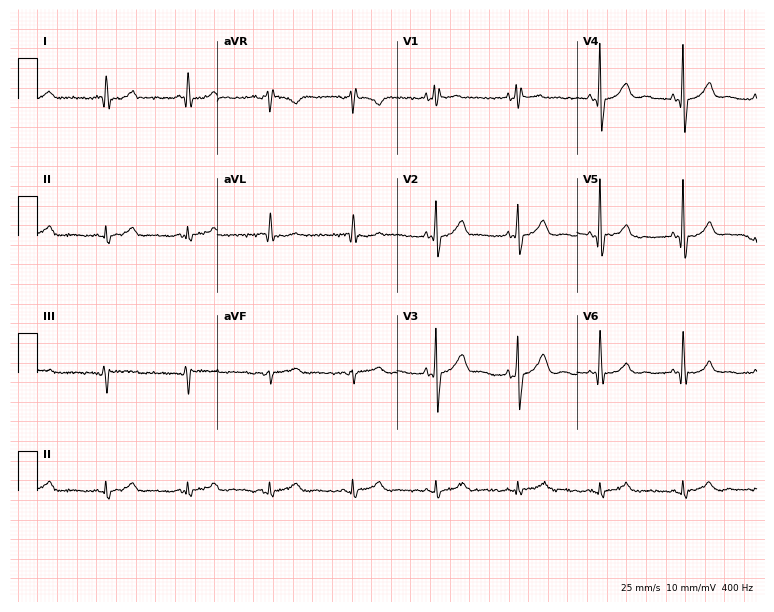
12-lead ECG from a male patient, 75 years old. Screened for six findings — first-degree AV block, right bundle branch block, left bundle branch block, sinus bradycardia, atrial fibrillation, sinus tachycardia — none is recorded. Only these six findings were labelled.